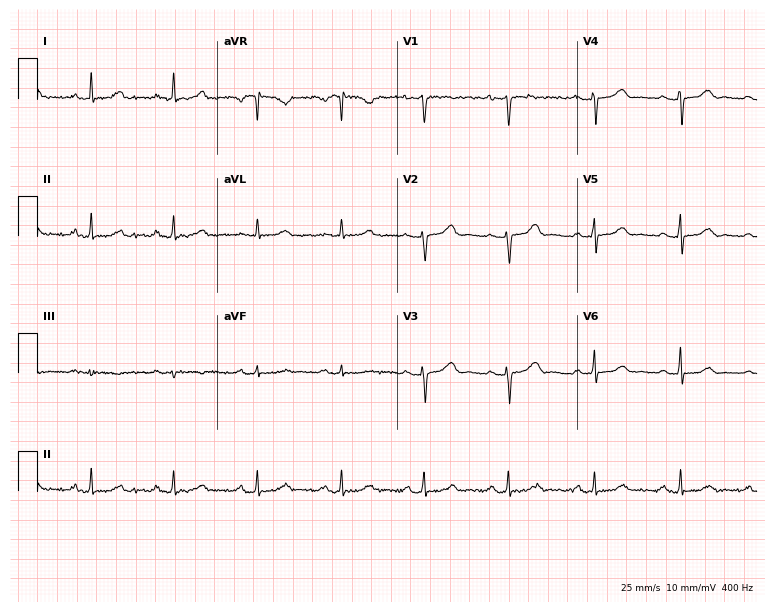
12-lead ECG (7.3-second recording at 400 Hz) from a woman, 51 years old. Screened for six findings — first-degree AV block, right bundle branch block, left bundle branch block, sinus bradycardia, atrial fibrillation, sinus tachycardia — none is recorded.